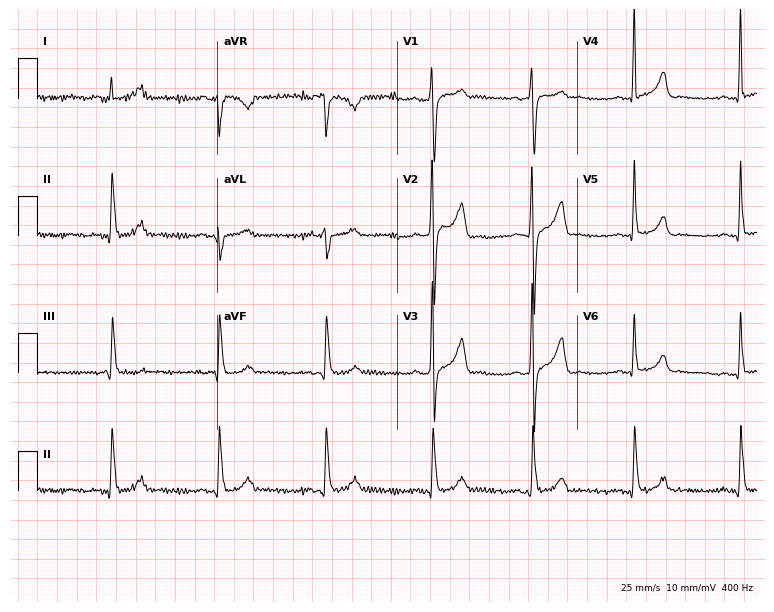
12-lead ECG from a 39-year-old male. Screened for six findings — first-degree AV block, right bundle branch block, left bundle branch block, sinus bradycardia, atrial fibrillation, sinus tachycardia — none is recorded. Other findings, if any, are not listed.